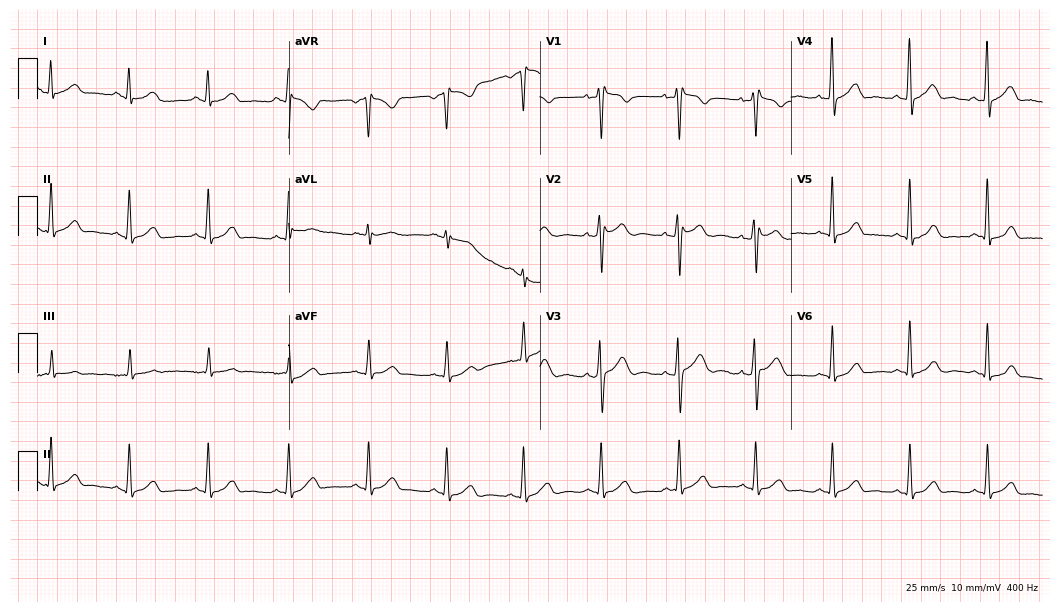
12-lead ECG from a 36-year-old male. No first-degree AV block, right bundle branch block, left bundle branch block, sinus bradycardia, atrial fibrillation or sinus tachycardia recorded for this tracing.